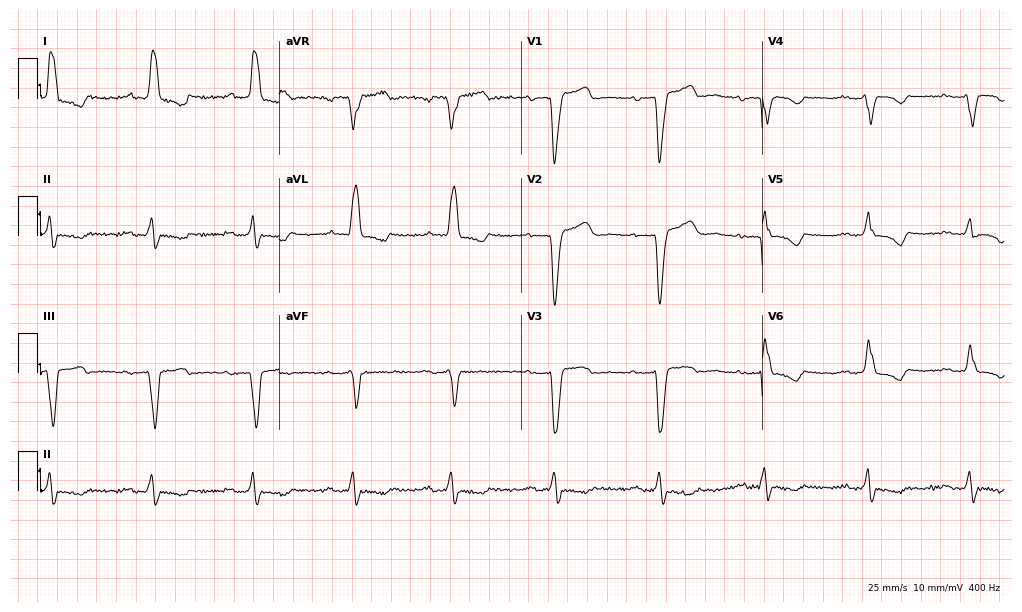
ECG — a woman, 78 years old. Findings include first-degree AV block, left bundle branch block (LBBB).